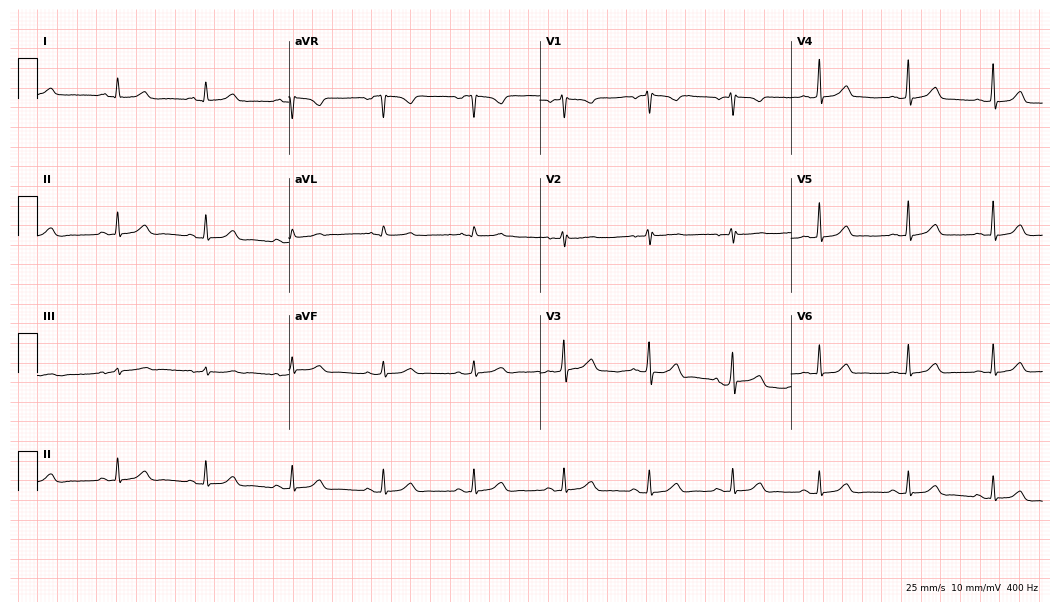
12-lead ECG from a 38-year-old female patient. Labelled as a normal ECG.